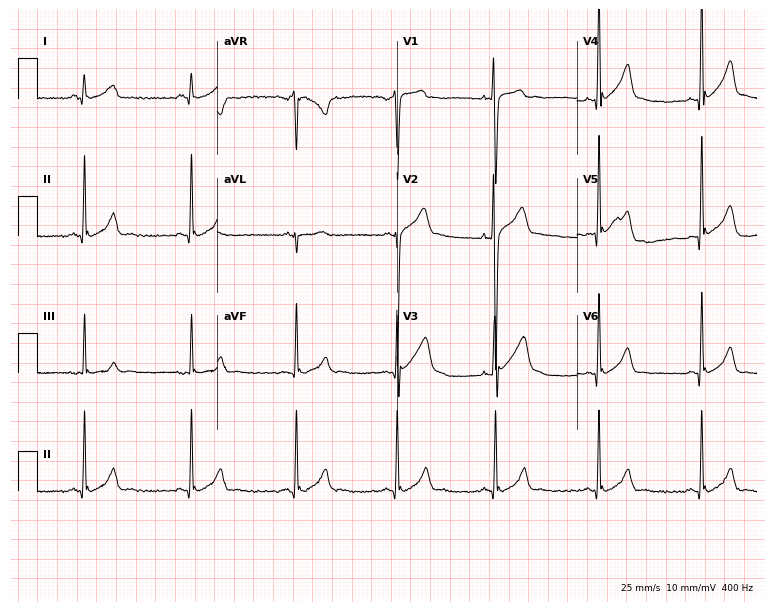
Resting 12-lead electrocardiogram. Patient: a male, 19 years old. None of these six findings is recorded: first-degree AV block, right bundle branch block, left bundle branch block, sinus bradycardia, atrial fibrillation, sinus tachycardia.